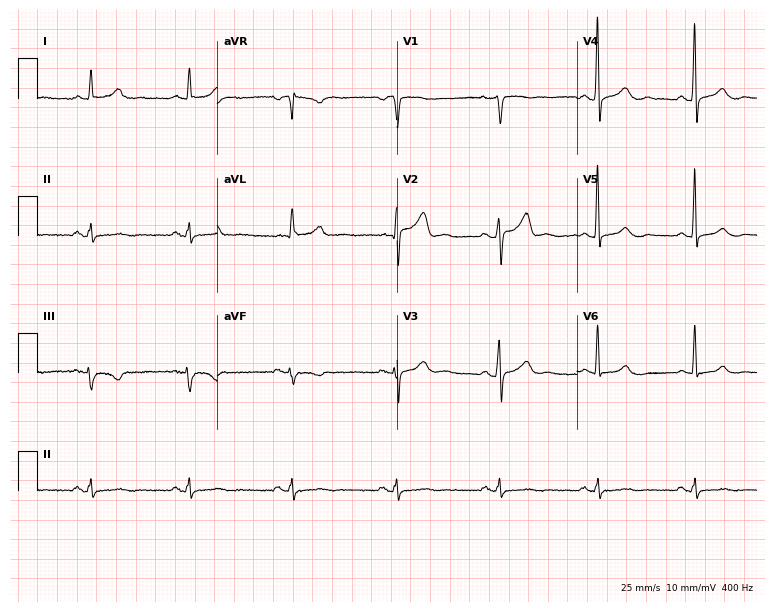
12-lead ECG from a man, 59 years old. Screened for six findings — first-degree AV block, right bundle branch block (RBBB), left bundle branch block (LBBB), sinus bradycardia, atrial fibrillation (AF), sinus tachycardia — none is recorded. Findings outside these six are not listed.